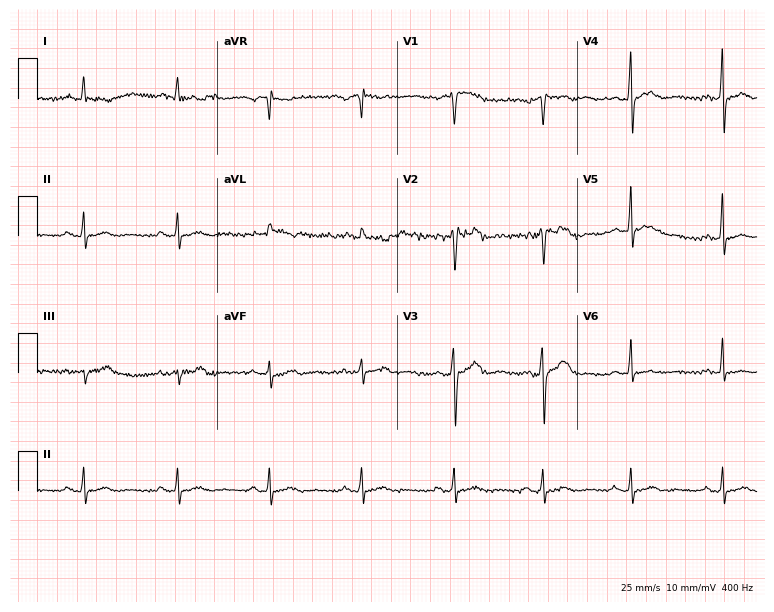
12-lead ECG from a 52-year-old male patient. No first-degree AV block, right bundle branch block (RBBB), left bundle branch block (LBBB), sinus bradycardia, atrial fibrillation (AF) or sinus tachycardia recorded for this tracing.